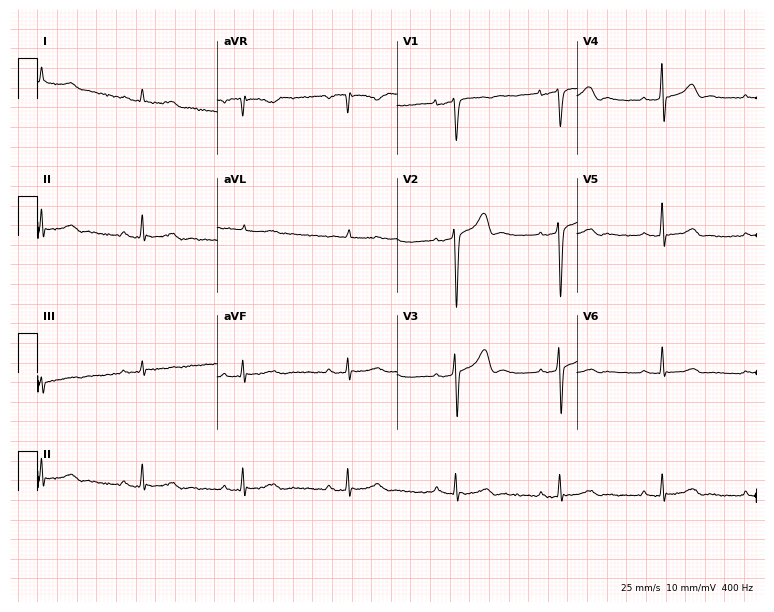
12-lead ECG from a 58-year-old man (7.3-second recording at 400 Hz). No first-degree AV block, right bundle branch block (RBBB), left bundle branch block (LBBB), sinus bradycardia, atrial fibrillation (AF) or sinus tachycardia recorded for this tracing.